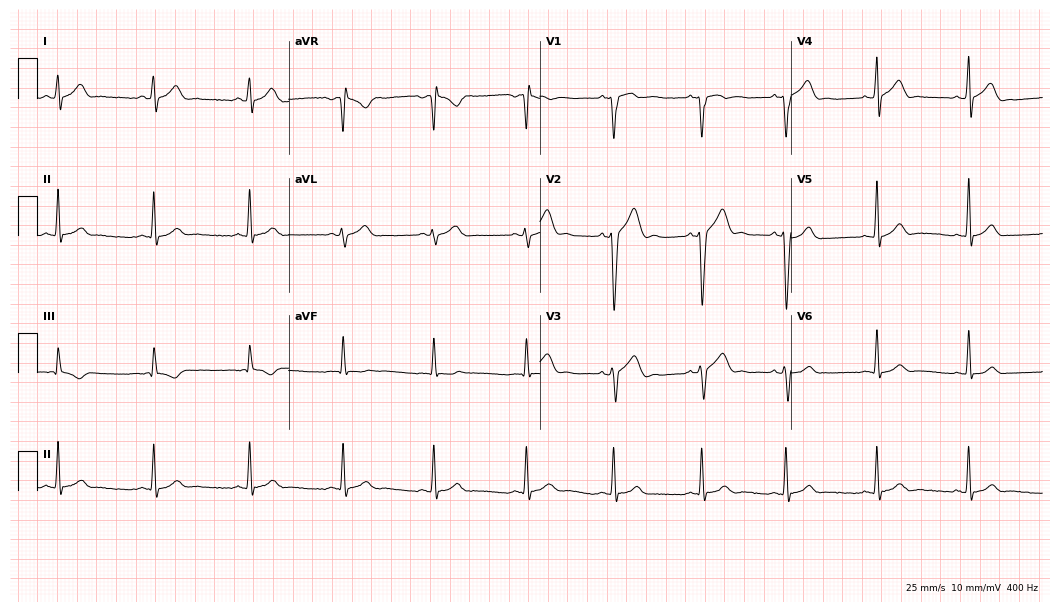
Electrocardiogram (10.2-second recording at 400 Hz), a 20-year-old male. Overall reading on record: normal ECG.